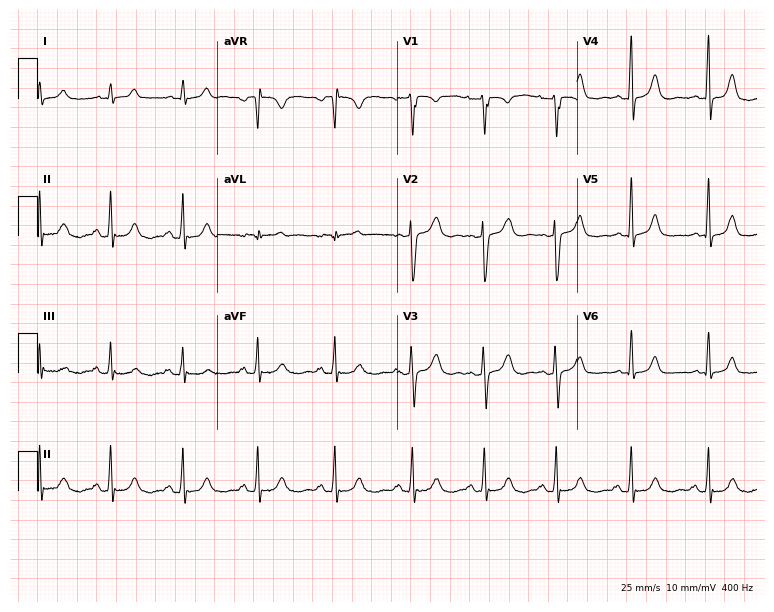
Electrocardiogram (7.3-second recording at 400 Hz), a woman, 30 years old. Overall reading on record: normal ECG.